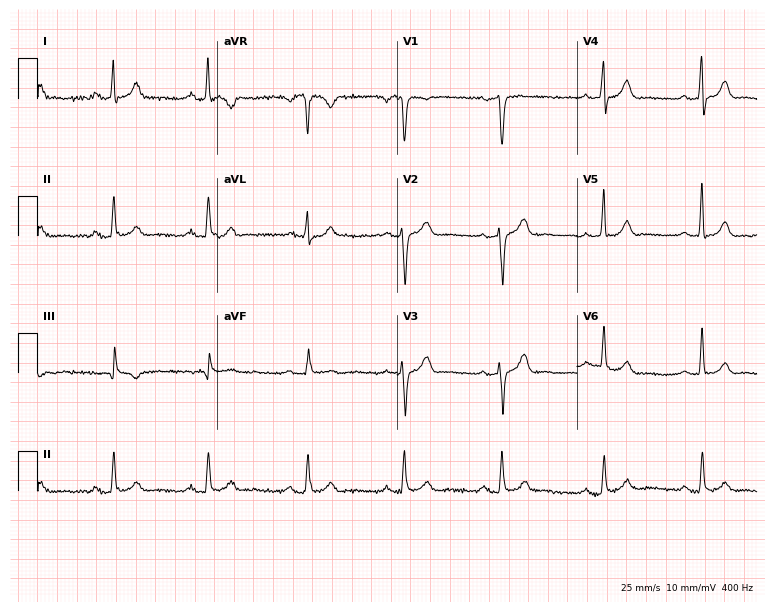
ECG — a 46-year-old woman. Screened for six findings — first-degree AV block, right bundle branch block, left bundle branch block, sinus bradycardia, atrial fibrillation, sinus tachycardia — none is recorded. Findings outside these six are not listed.